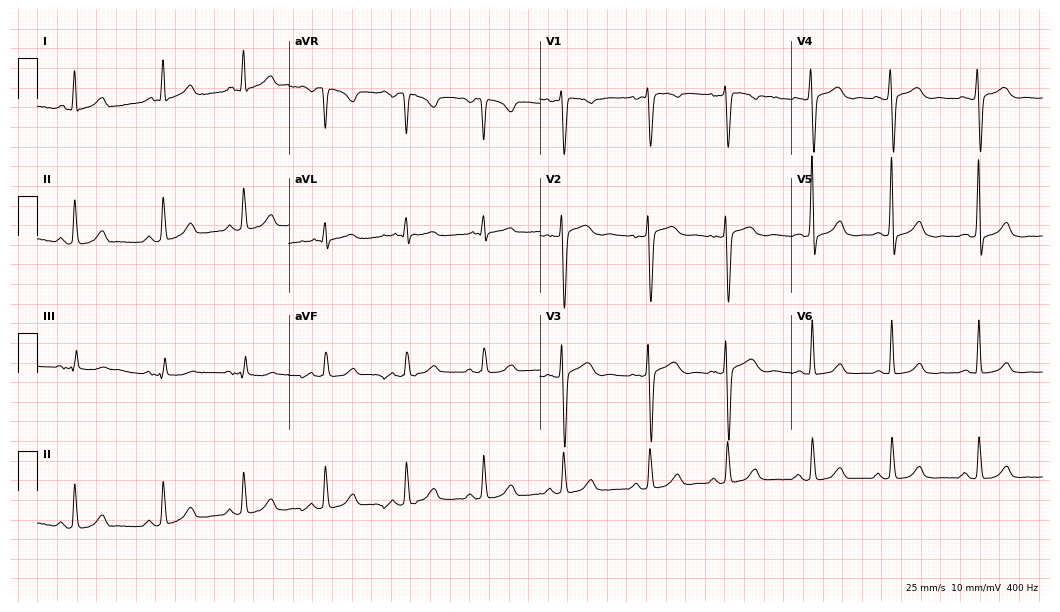
Standard 12-lead ECG recorded from a female patient, 54 years old (10.2-second recording at 400 Hz). Read as a normal ECG.